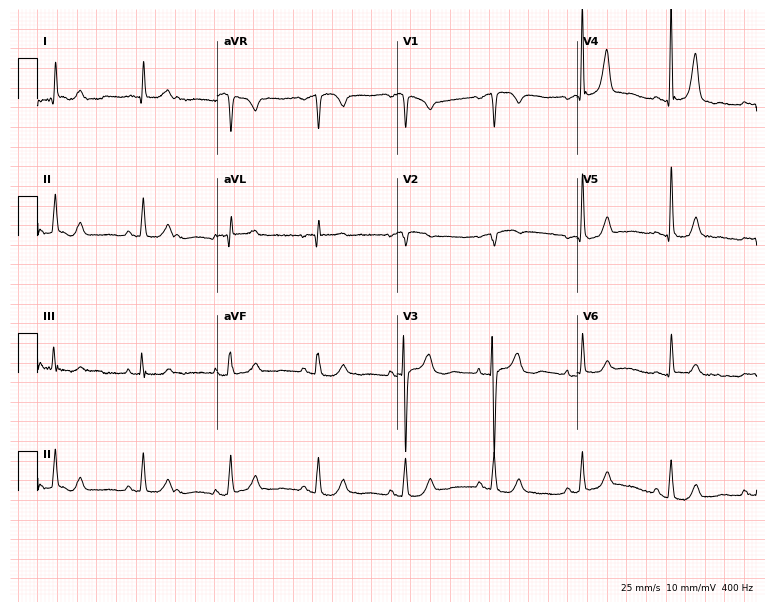
12-lead ECG from a female patient, 81 years old (7.3-second recording at 400 Hz). Recorded interpretation: within normal limits.